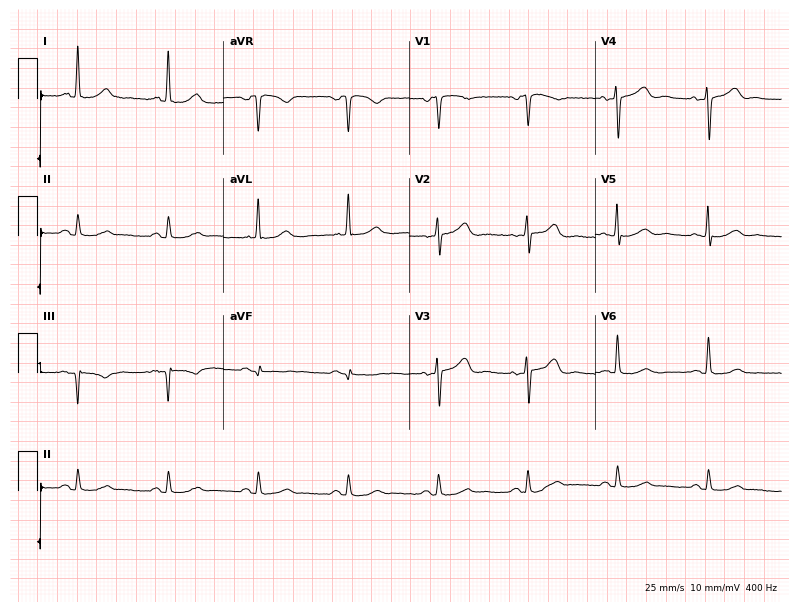
Resting 12-lead electrocardiogram. Patient: a female, 66 years old. Read as a normal ECG.